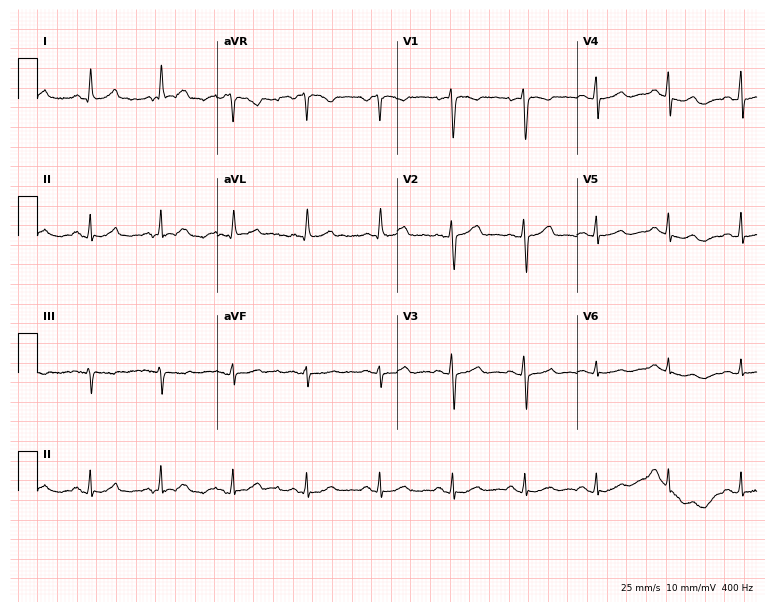
Resting 12-lead electrocardiogram (7.3-second recording at 400 Hz). Patient: a female, 57 years old. Read as a normal ECG.